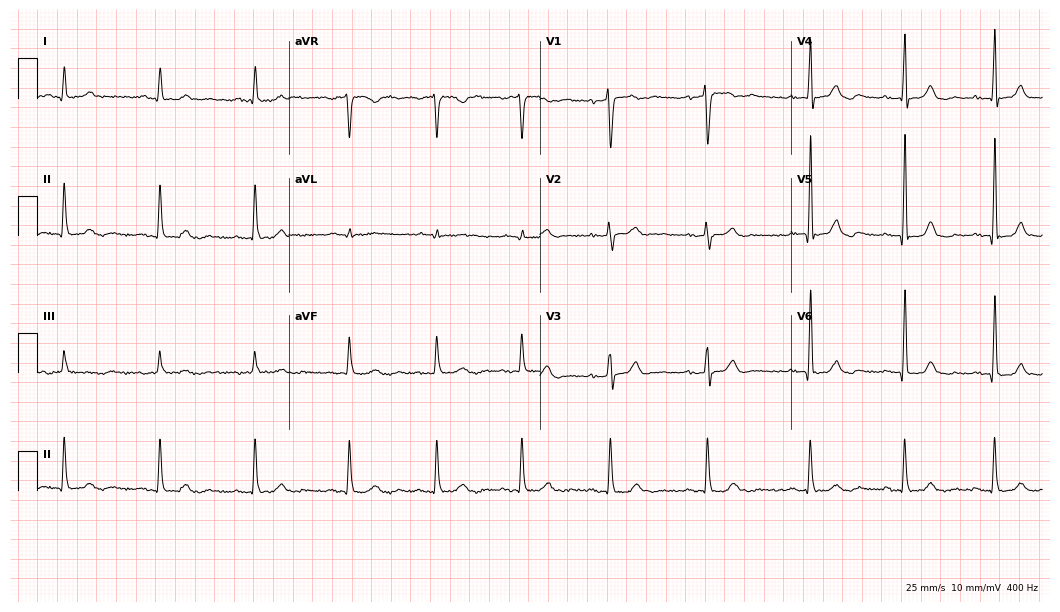
ECG — a 59-year-old woman. Screened for six findings — first-degree AV block, right bundle branch block (RBBB), left bundle branch block (LBBB), sinus bradycardia, atrial fibrillation (AF), sinus tachycardia — none is recorded.